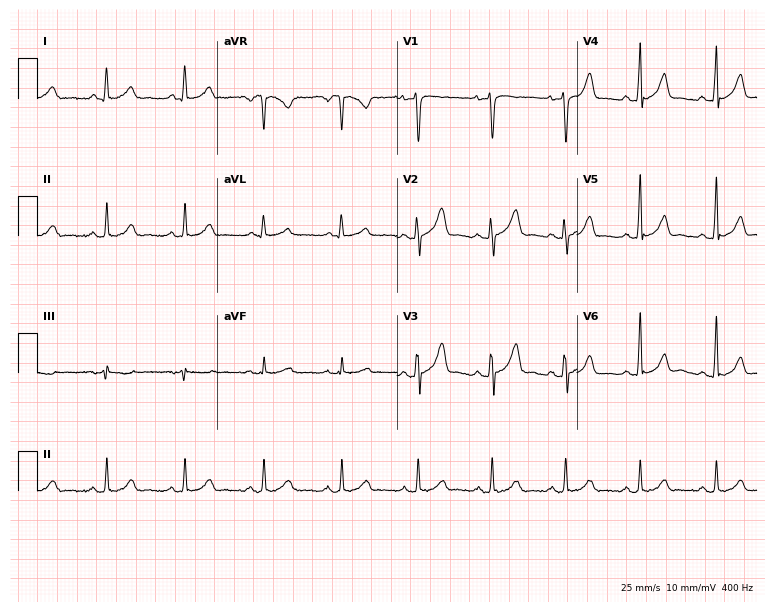
Resting 12-lead electrocardiogram (7.3-second recording at 400 Hz). Patient: a 30-year-old man. None of these six findings is recorded: first-degree AV block, right bundle branch block, left bundle branch block, sinus bradycardia, atrial fibrillation, sinus tachycardia.